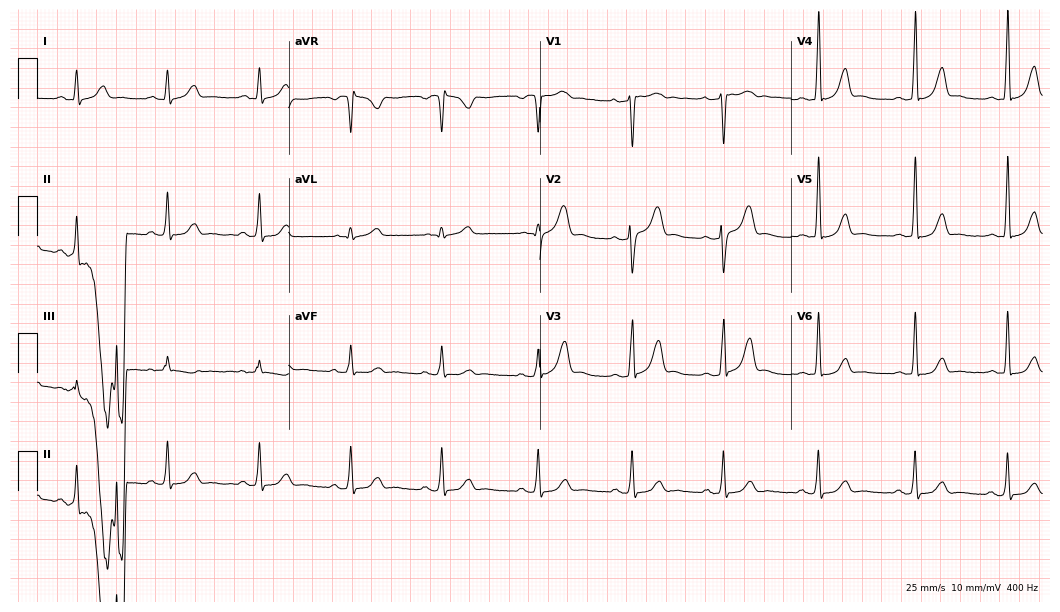
ECG — a 28-year-old male patient. Labelled as a normal ECG.